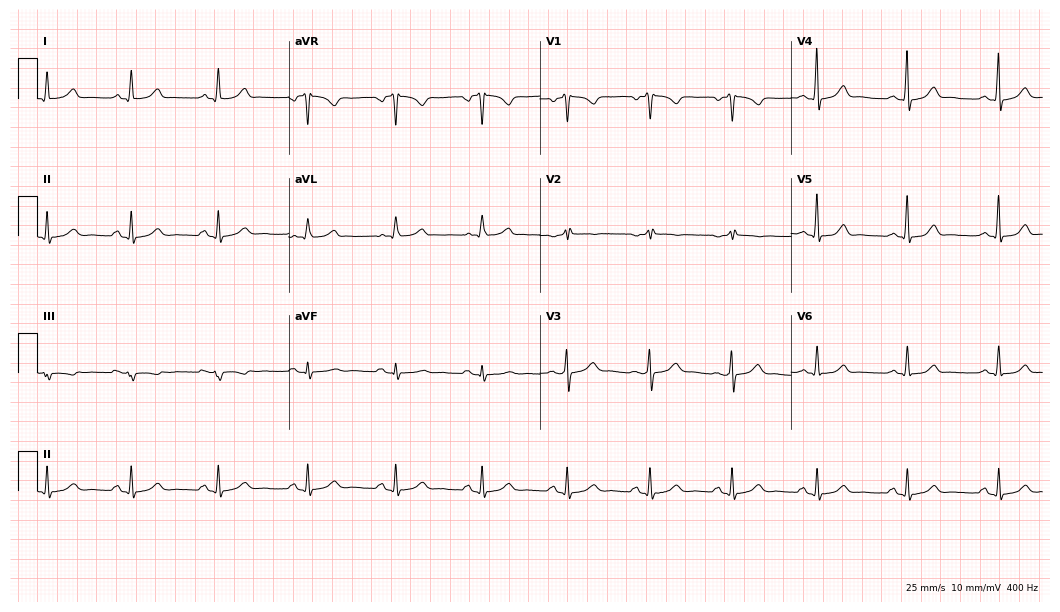
ECG — a woman, 30 years old. Screened for six findings — first-degree AV block, right bundle branch block, left bundle branch block, sinus bradycardia, atrial fibrillation, sinus tachycardia — none is recorded.